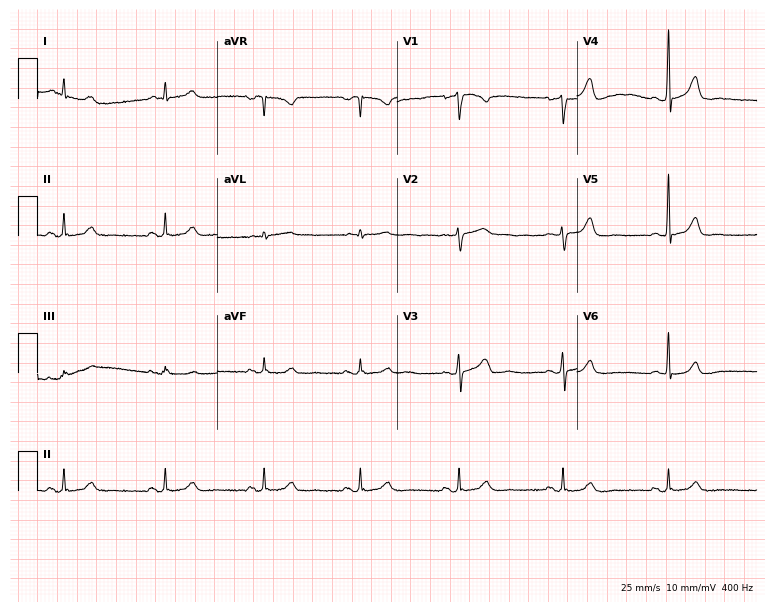
Resting 12-lead electrocardiogram. Patient: a 54-year-old male. None of these six findings is recorded: first-degree AV block, right bundle branch block, left bundle branch block, sinus bradycardia, atrial fibrillation, sinus tachycardia.